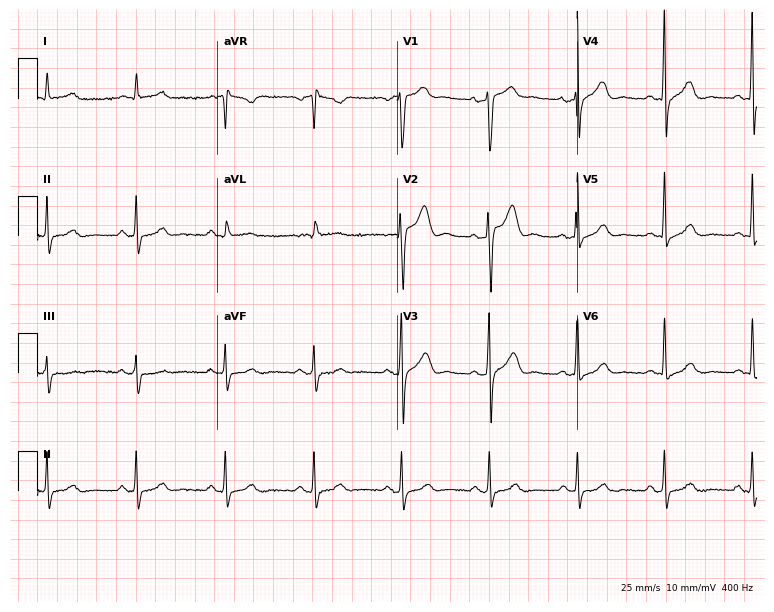
Electrocardiogram, a 44-year-old man. Overall reading on record: normal ECG.